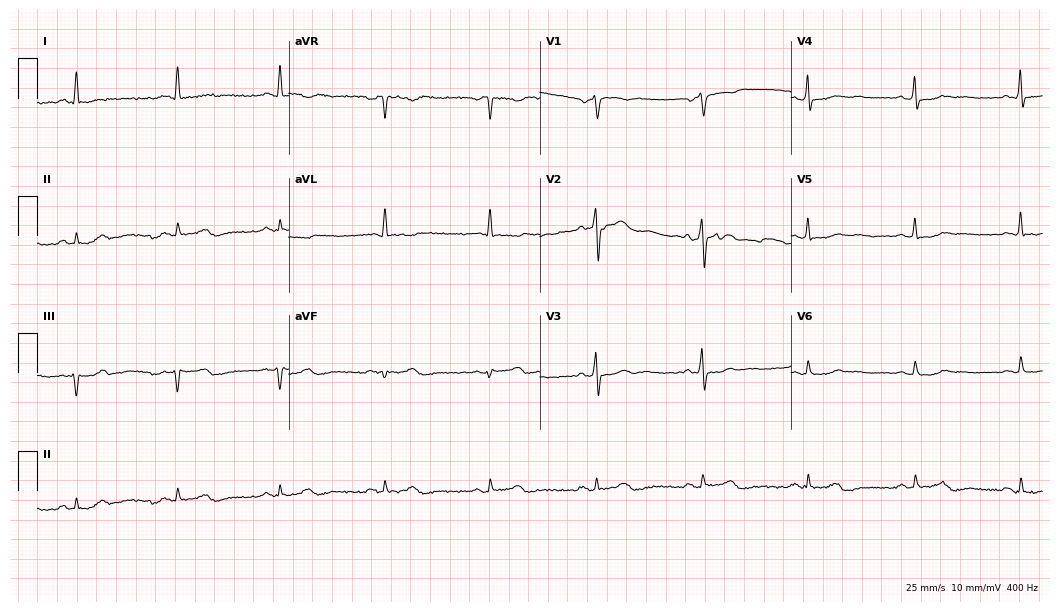
12-lead ECG (10.2-second recording at 400 Hz) from a man, 64 years old. Screened for six findings — first-degree AV block, right bundle branch block, left bundle branch block, sinus bradycardia, atrial fibrillation, sinus tachycardia — none is recorded.